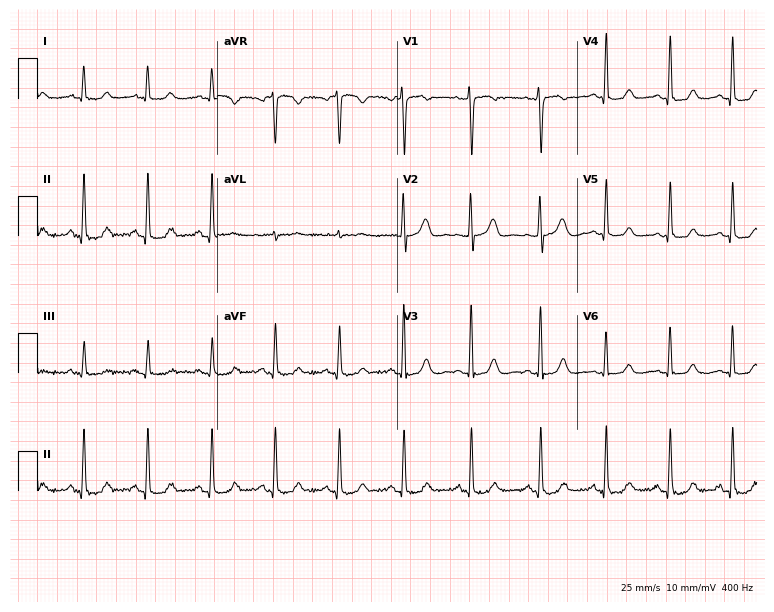
Standard 12-lead ECG recorded from a 52-year-old female patient. Read as a normal ECG.